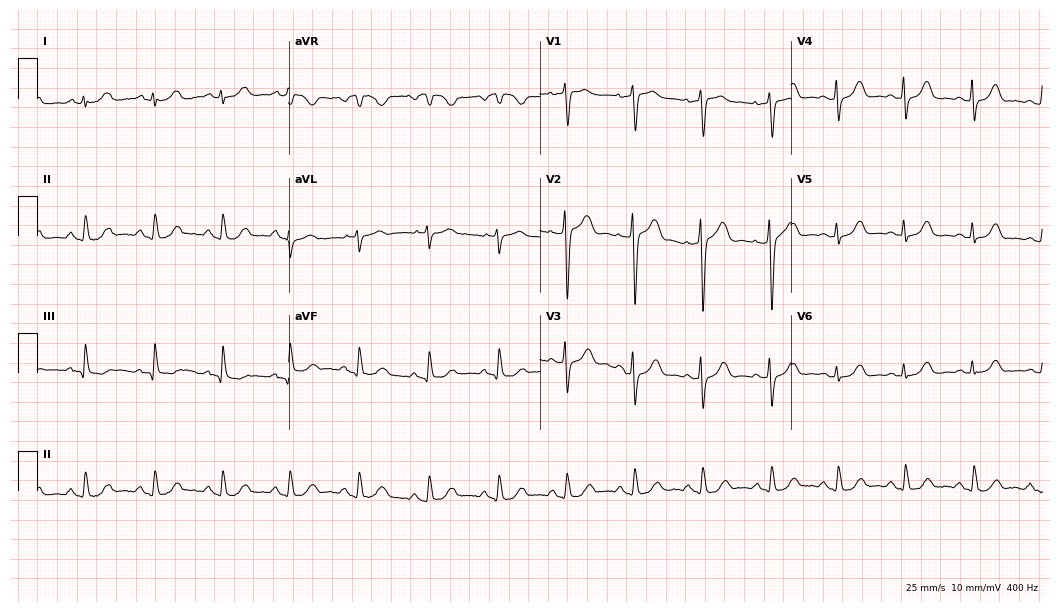
12-lead ECG (10.2-second recording at 400 Hz) from a 58-year-old female. Screened for six findings — first-degree AV block, right bundle branch block (RBBB), left bundle branch block (LBBB), sinus bradycardia, atrial fibrillation (AF), sinus tachycardia — none is recorded. Findings outside these six are not listed.